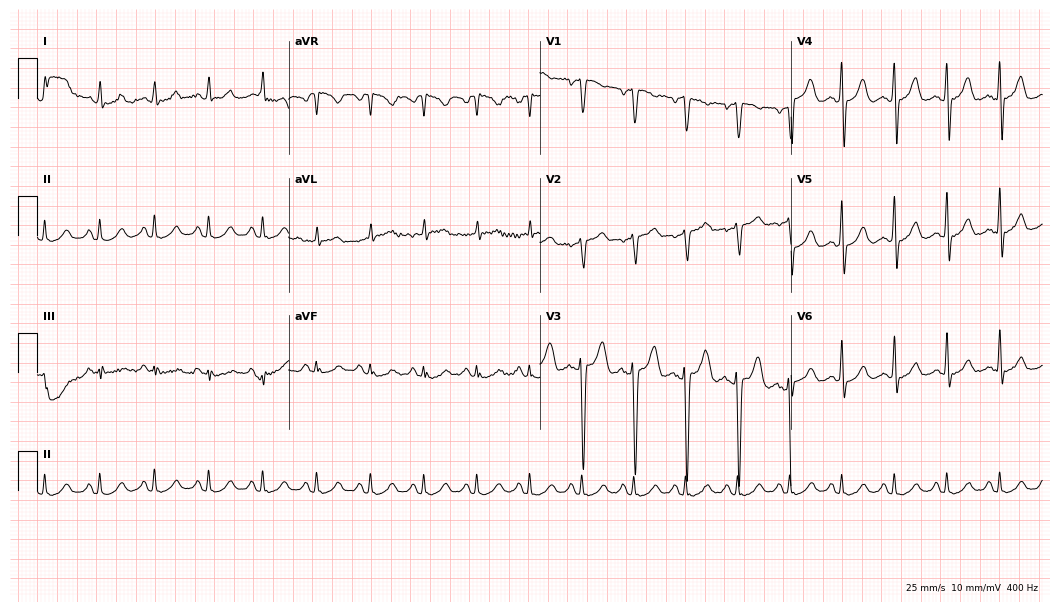
ECG (10.2-second recording at 400 Hz) — a 36-year-old male patient. Findings include sinus tachycardia (a sinus rate of 100 beats per minute or more).